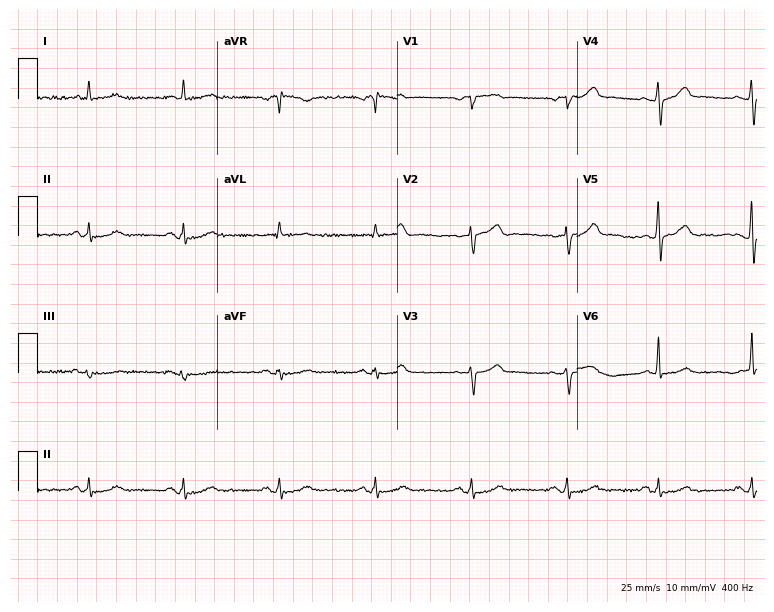
Standard 12-lead ECG recorded from a male patient, 71 years old. None of these six findings is recorded: first-degree AV block, right bundle branch block, left bundle branch block, sinus bradycardia, atrial fibrillation, sinus tachycardia. Other findings, if any, are not listed.